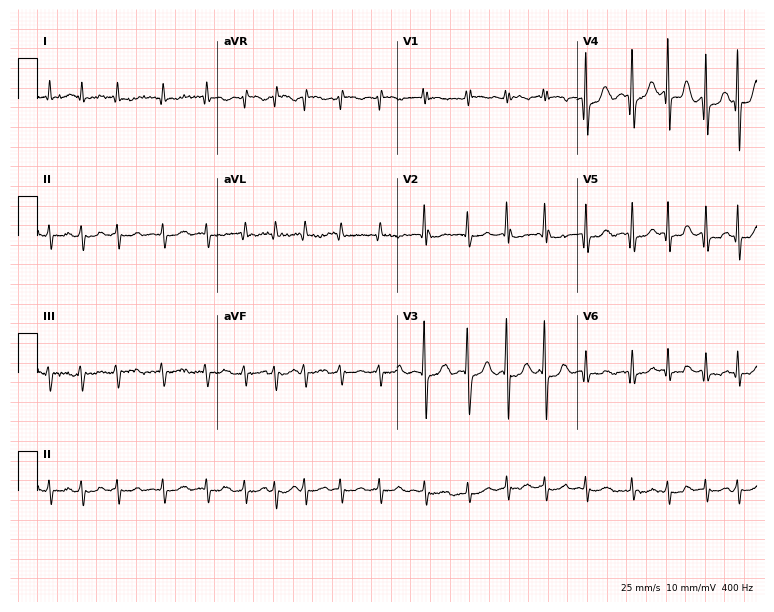
ECG — a female, 81 years old. Findings include atrial fibrillation.